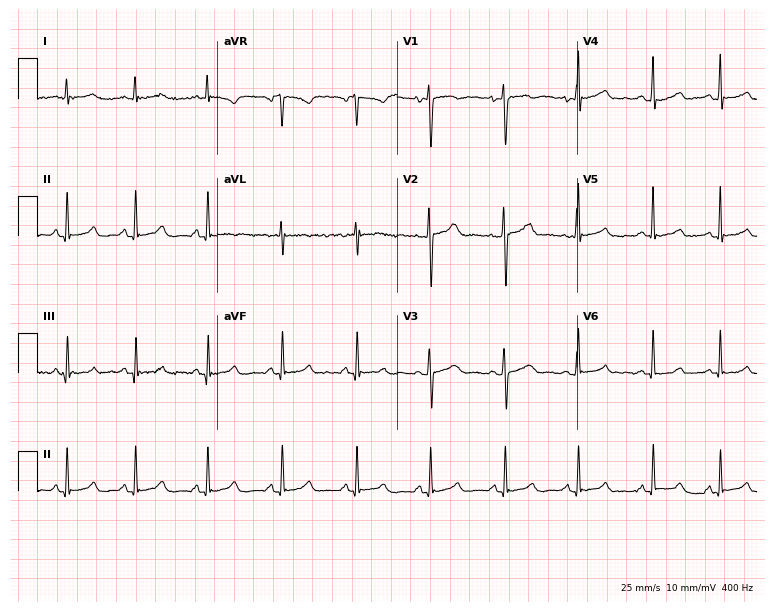
Electrocardiogram, a 30-year-old female patient. Overall reading on record: normal ECG.